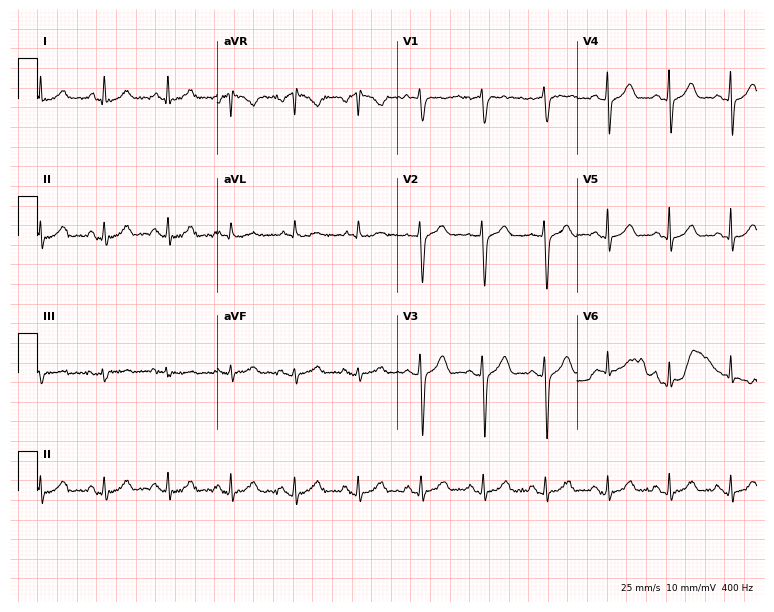
12-lead ECG from a male, 54 years old. Recorded interpretation: within normal limits.